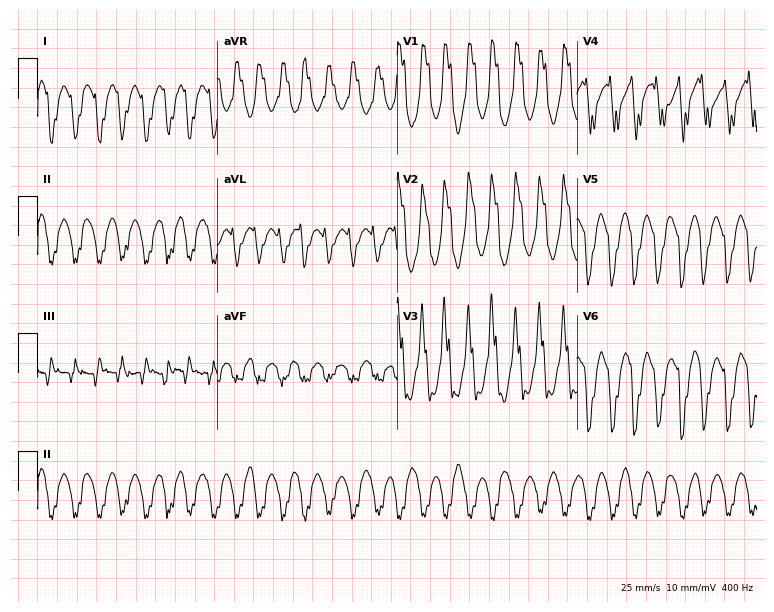
Standard 12-lead ECG recorded from a 46-year-old man. The tracing shows atrial fibrillation, sinus tachycardia (a sinus rate of 100 beats per minute or more).